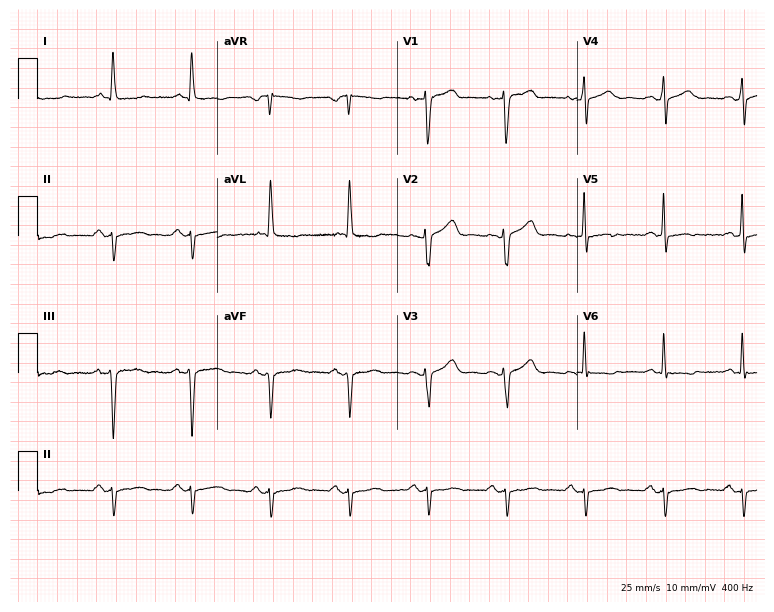
12-lead ECG (7.3-second recording at 400 Hz) from a female patient, 76 years old. Screened for six findings — first-degree AV block, right bundle branch block (RBBB), left bundle branch block (LBBB), sinus bradycardia, atrial fibrillation (AF), sinus tachycardia — none is recorded.